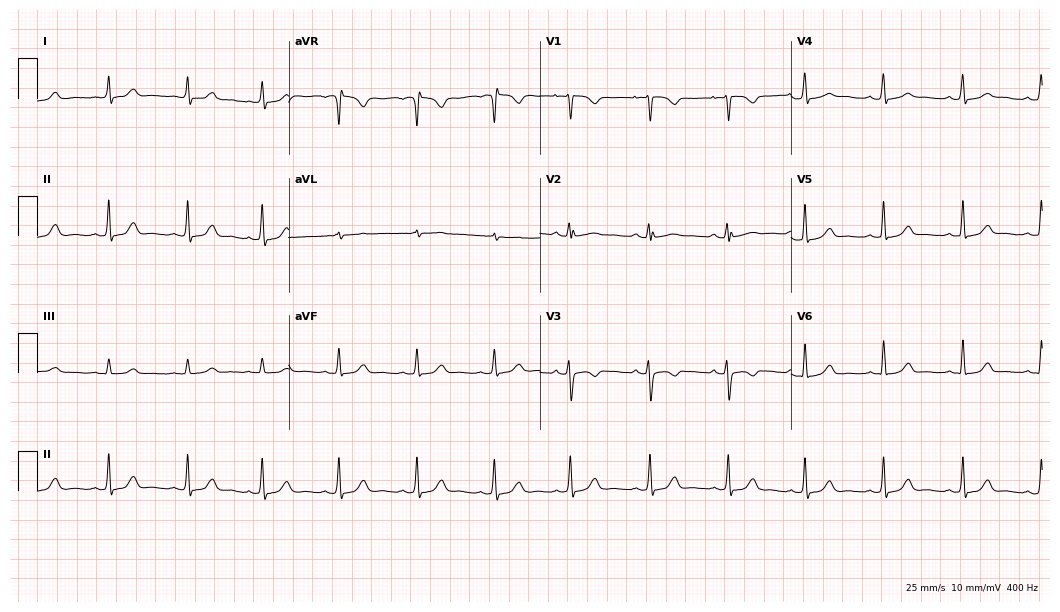
ECG — a female patient, 27 years old. Labelled as a normal ECG.